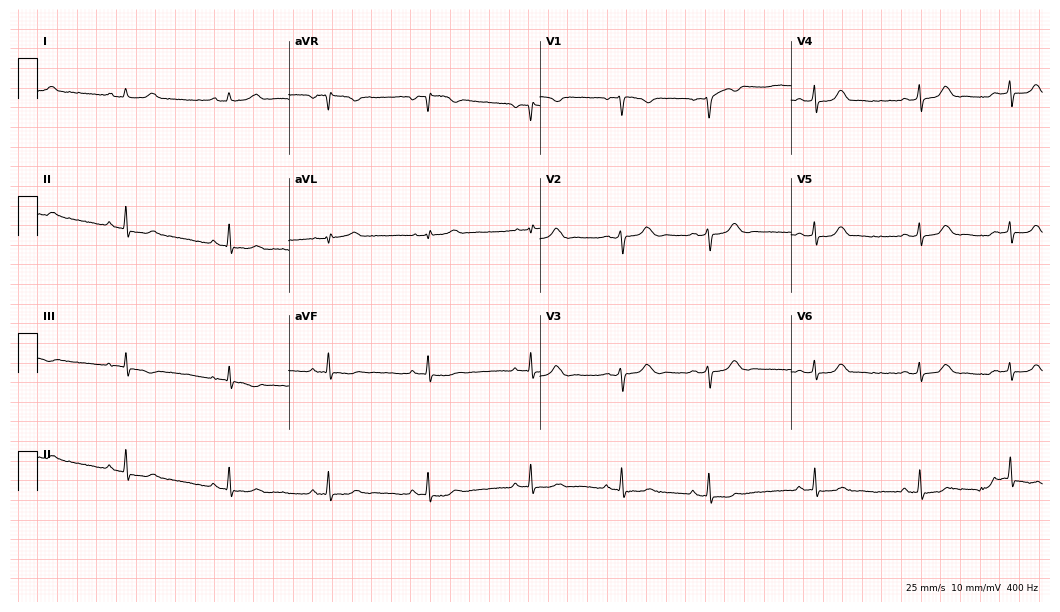
12-lead ECG from a 21-year-old female patient (10.2-second recording at 400 Hz). Recorded interpretation: within normal limits.